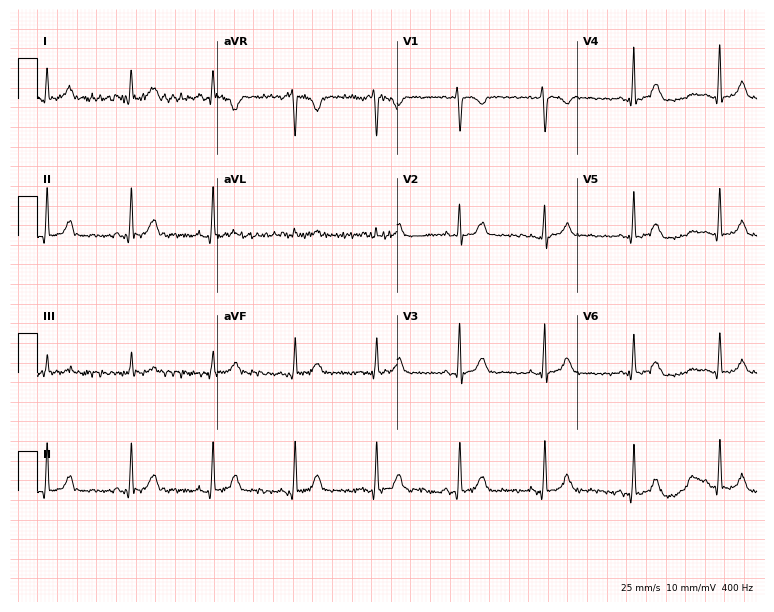
Electrocardiogram, a 41-year-old woman. Overall reading on record: normal ECG.